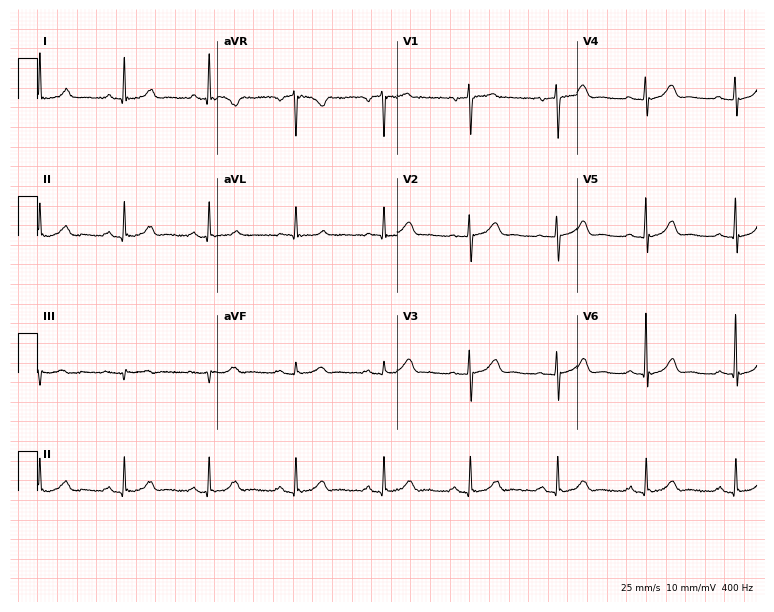
Standard 12-lead ECG recorded from a woman, 66 years old (7.3-second recording at 400 Hz). Read as a normal ECG.